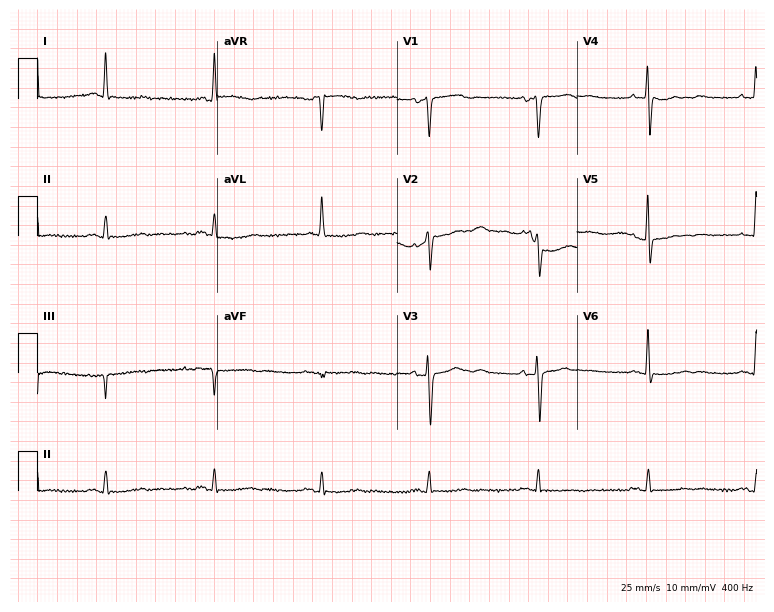
Standard 12-lead ECG recorded from a male patient, 79 years old (7.3-second recording at 400 Hz). None of these six findings is recorded: first-degree AV block, right bundle branch block (RBBB), left bundle branch block (LBBB), sinus bradycardia, atrial fibrillation (AF), sinus tachycardia.